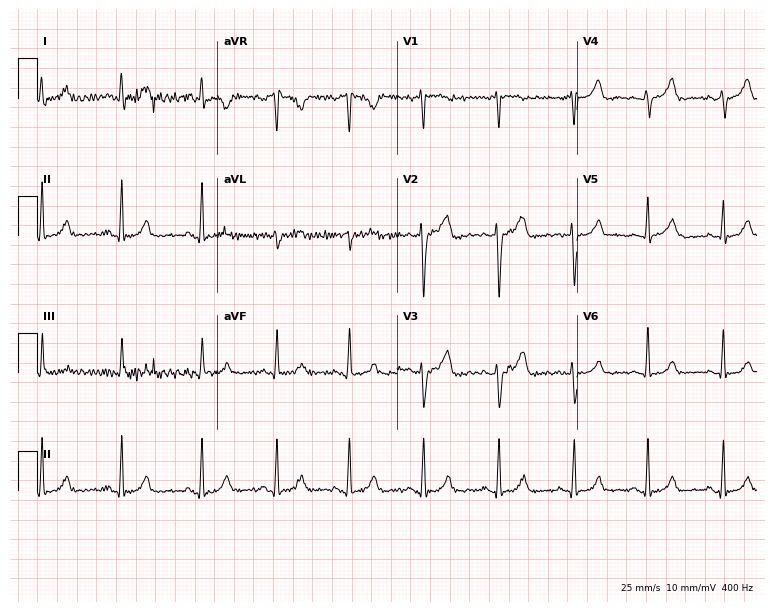
ECG (7.3-second recording at 400 Hz) — a 31-year-old female. Labelled as a normal ECG.